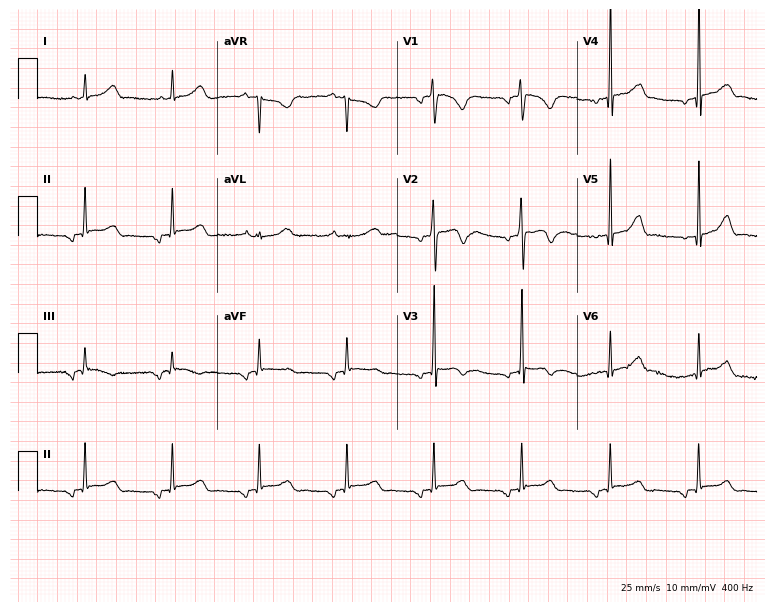
Electrocardiogram (7.3-second recording at 400 Hz), a 17-year-old male. Of the six screened findings (first-degree AV block, right bundle branch block, left bundle branch block, sinus bradycardia, atrial fibrillation, sinus tachycardia), none is recorded. Findings outside these six are not listed.